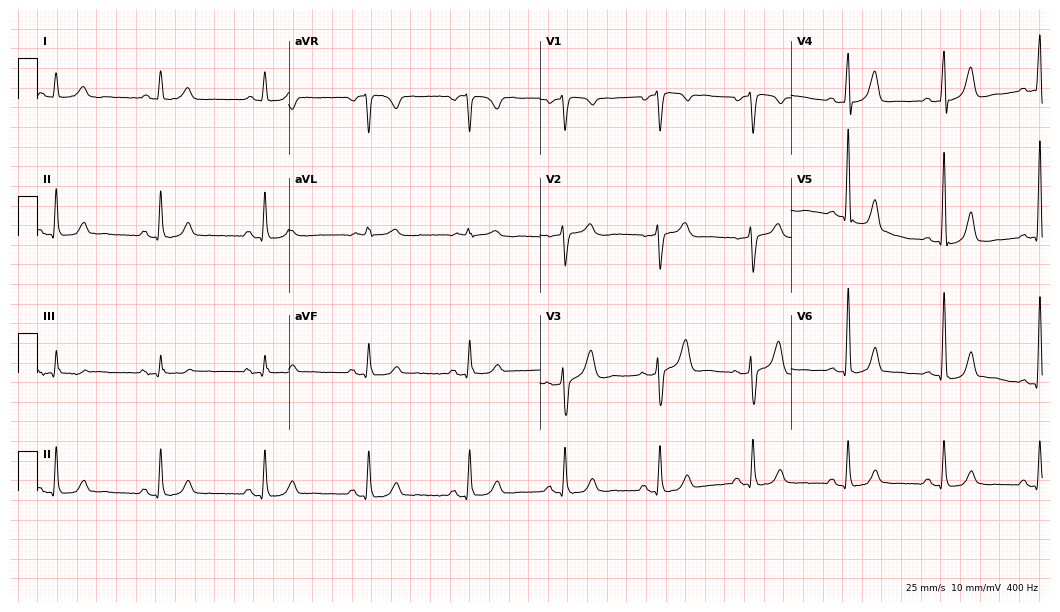
12-lead ECG (10.2-second recording at 400 Hz) from a male patient, 61 years old. Labelled as a normal ECG.